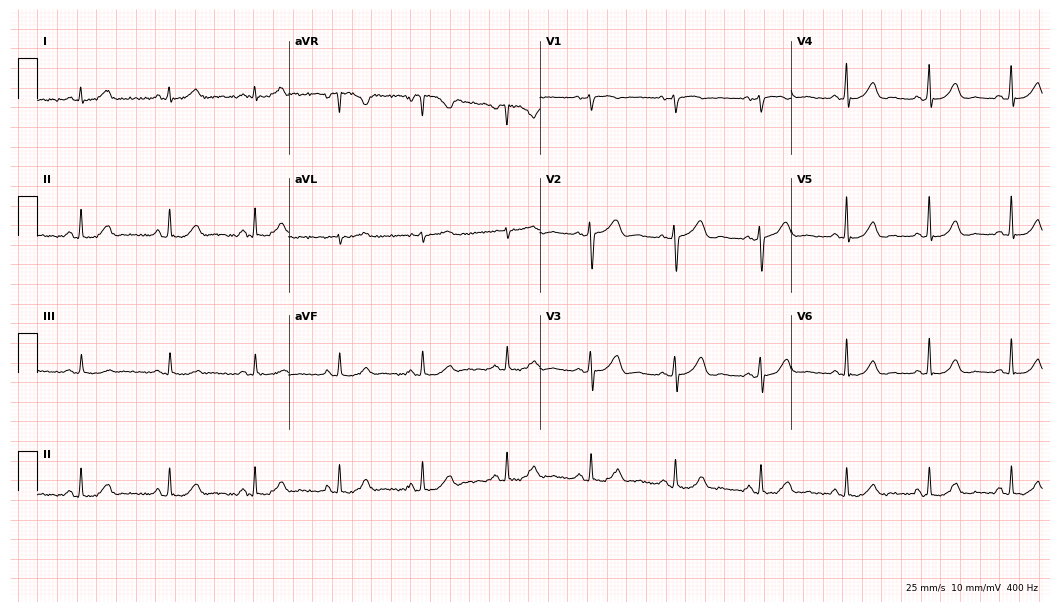
12-lead ECG from a female, 52 years old (10.2-second recording at 400 Hz). Recorded interpretation: within normal limits.